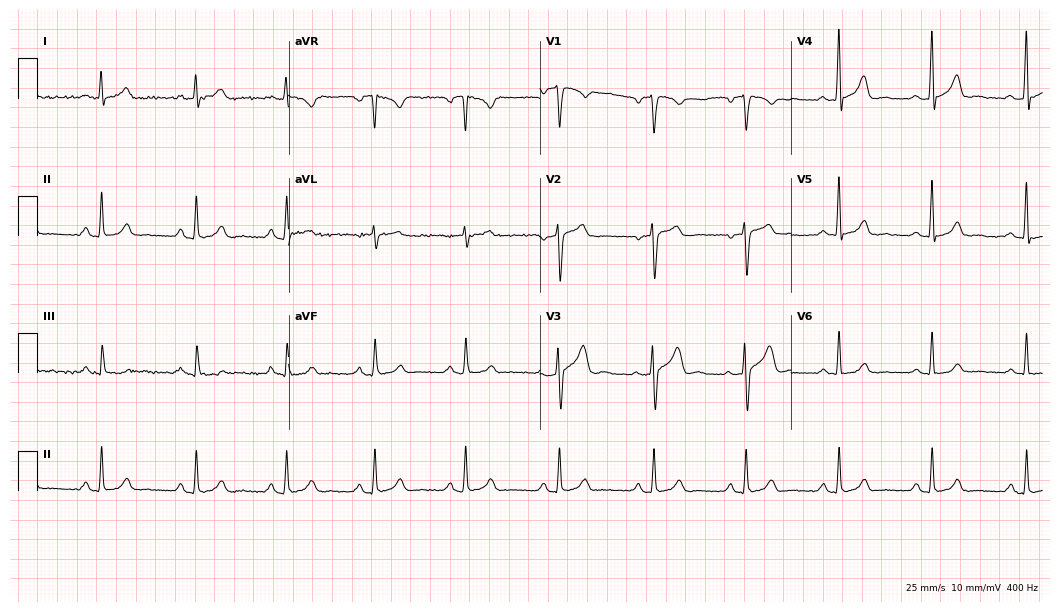
ECG — a 43-year-old man. Labelled as a normal ECG.